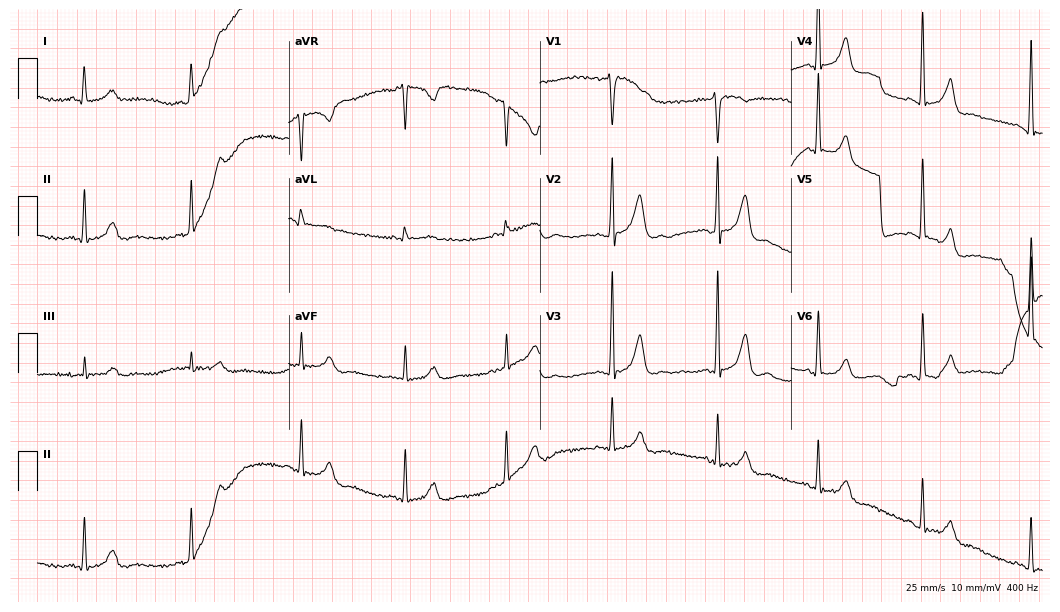
Electrocardiogram, a 43-year-old male. Overall reading on record: normal ECG.